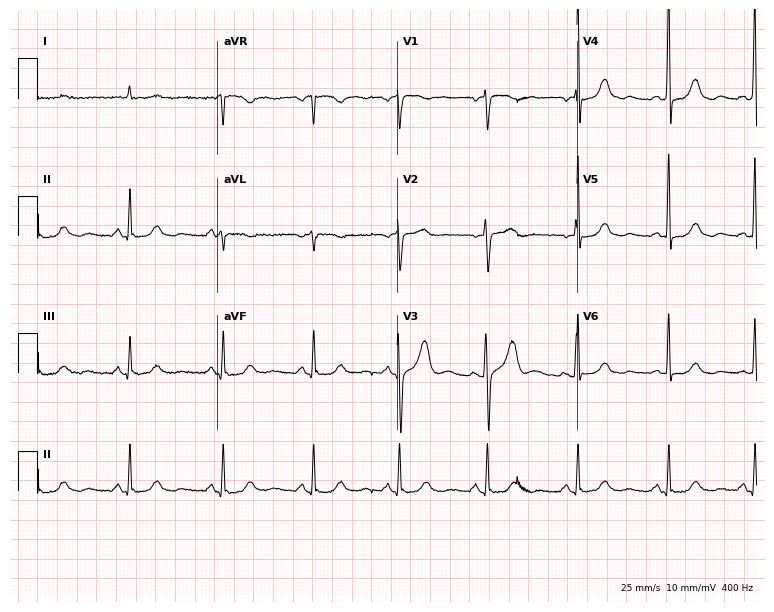
Standard 12-lead ECG recorded from a 64-year-old woman. None of these six findings is recorded: first-degree AV block, right bundle branch block (RBBB), left bundle branch block (LBBB), sinus bradycardia, atrial fibrillation (AF), sinus tachycardia. Only these six findings were labelled.